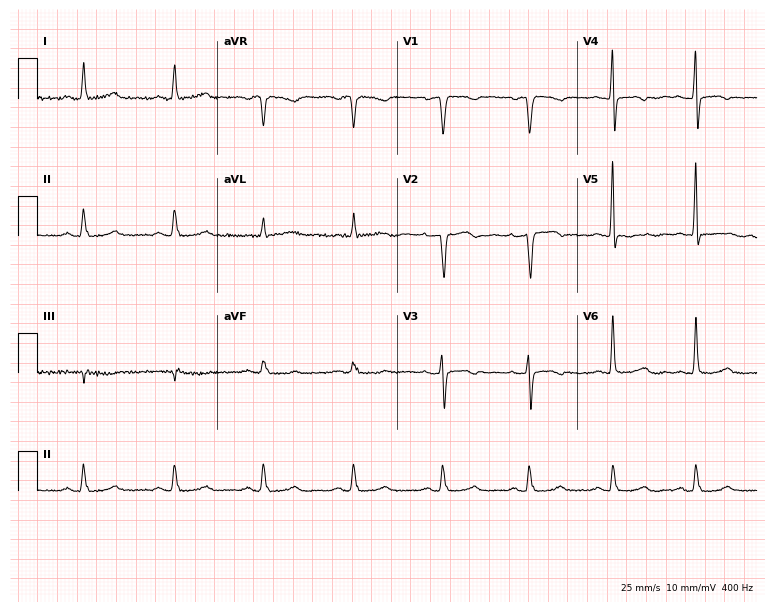
Standard 12-lead ECG recorded from a female patient, 61 years old (7.3-second recording at 400 Hz). None of these six findings is recorded: first-degree AV block, right bundle branch block (RBBB), left bundle branch block (LBBB), sinus bradycardia, atrial fibrillation (AF), sinus tachycardia. Findings outside these six are not listed.